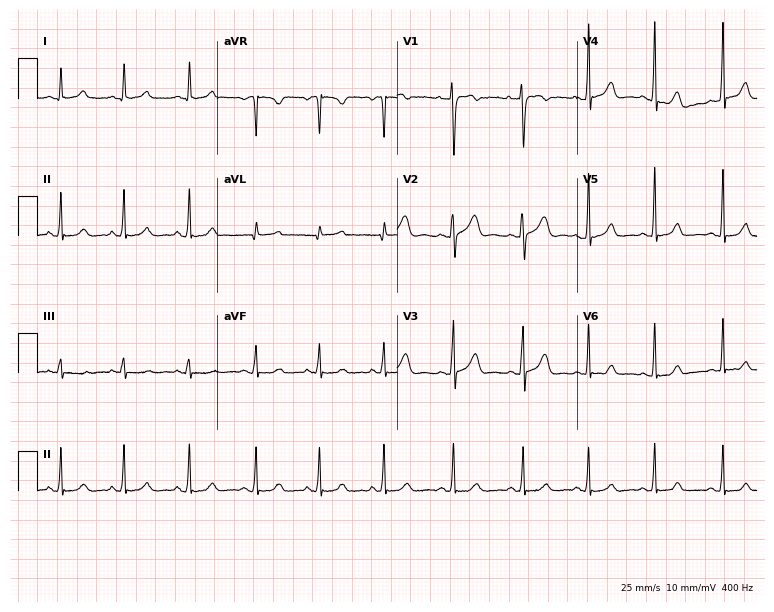
Resting 12-lead electrocardiogram. Patient: a 22-year-old female. Read as a normal ECG.